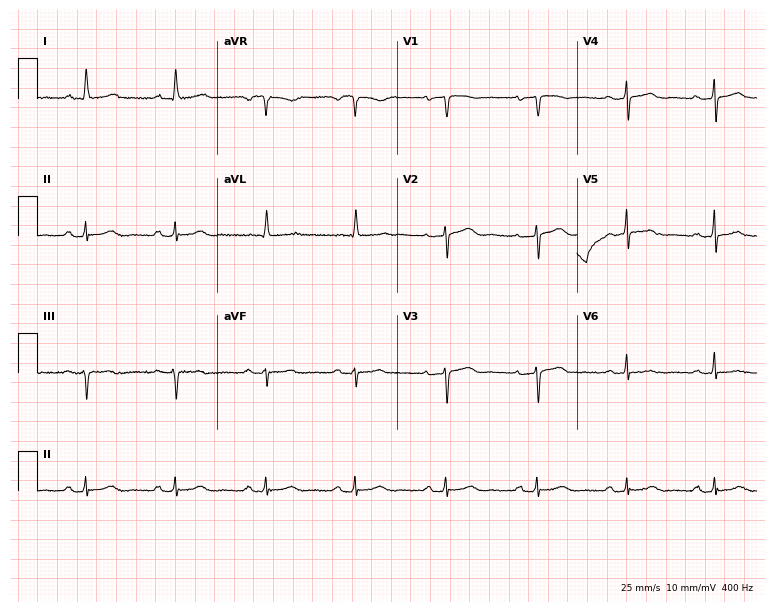
Electrocardiogram (7.3-second recording at 400 Hz), a 68-year-old female. Overall reading on record: normal ECG.